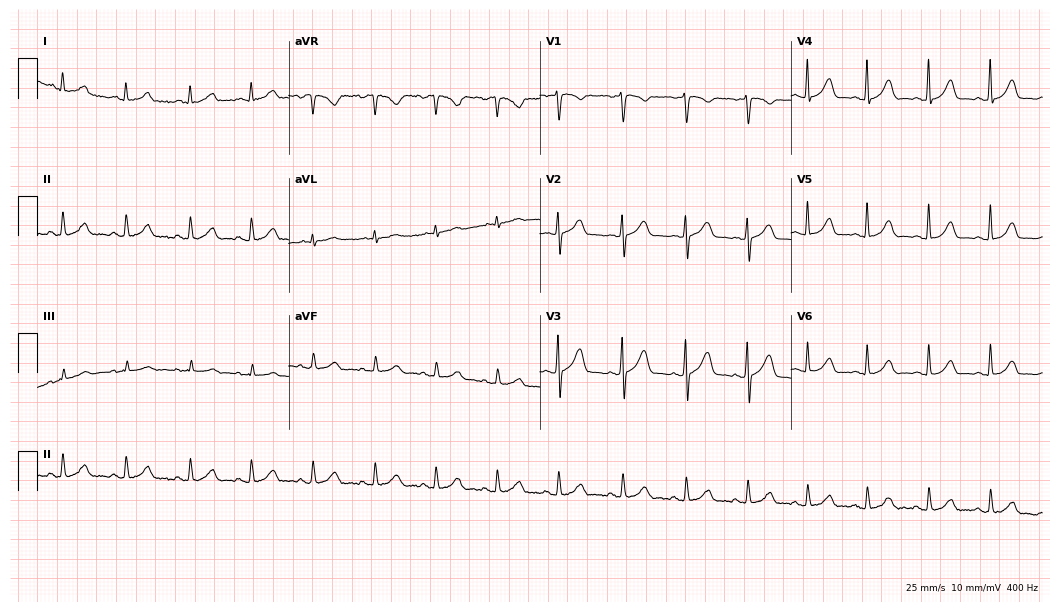
Standard 12-lead ECG recorded from a 45-year-old female patient (10.2-second recording at 400 Hz). None of these six findings is recorded: first-degree AV block, right bundle branch block, left bundle branch block, sinus bradycardia, atrial fibrillation, sinus tachycardia.